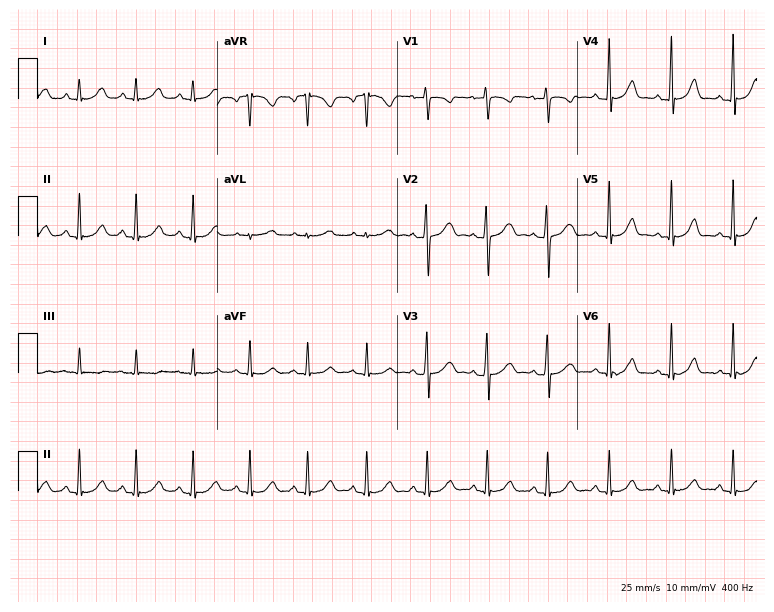
Electrocardiogram (7.3-second recording at 400 Hz), a woman, 30 years old. Overall reading on record: normal ECG.